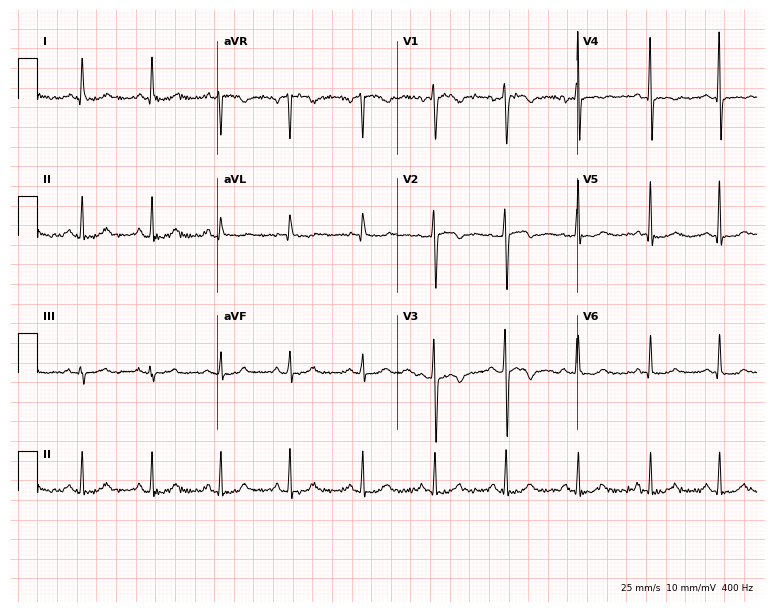
12-lead ECG from a female patient, 42 years old (7.3-second recording at 400 Hz). No first-degree AV block, right bundle branch block (RBBB), left bundle branch block (LBBB), sinus bradycardia, atrial fibrillation (AF) or sinus tachycardia recorded for this tracing. Only these six findings were labelled.